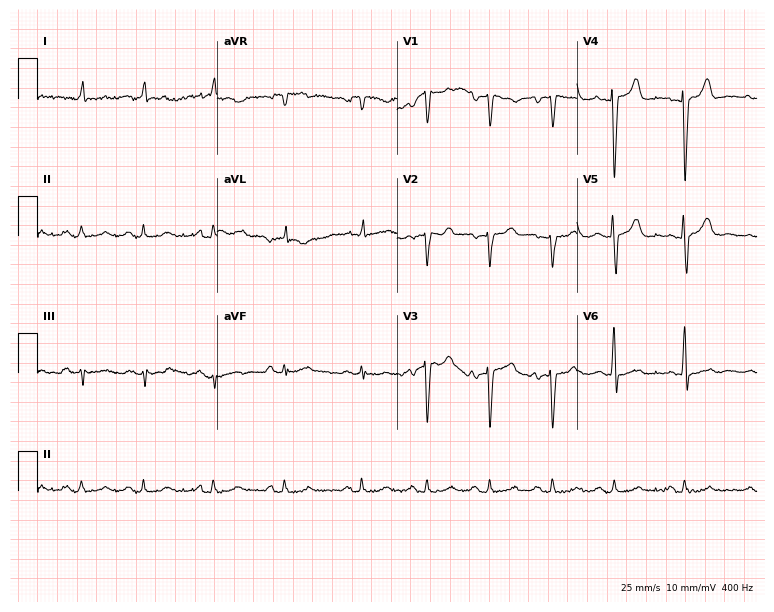
Standard 12-lead ECG recorded from a female patient, 77 years old (7.3-second recording at 400 Hz). None of these six findings is recorded: first-degree AV block, right bundle branch block (RBBB), left bundle branch block (LBBB), sinus bradycardia, atrial fibrillation (AF), sinus tachycardia. Other findings, if any, are not listed.